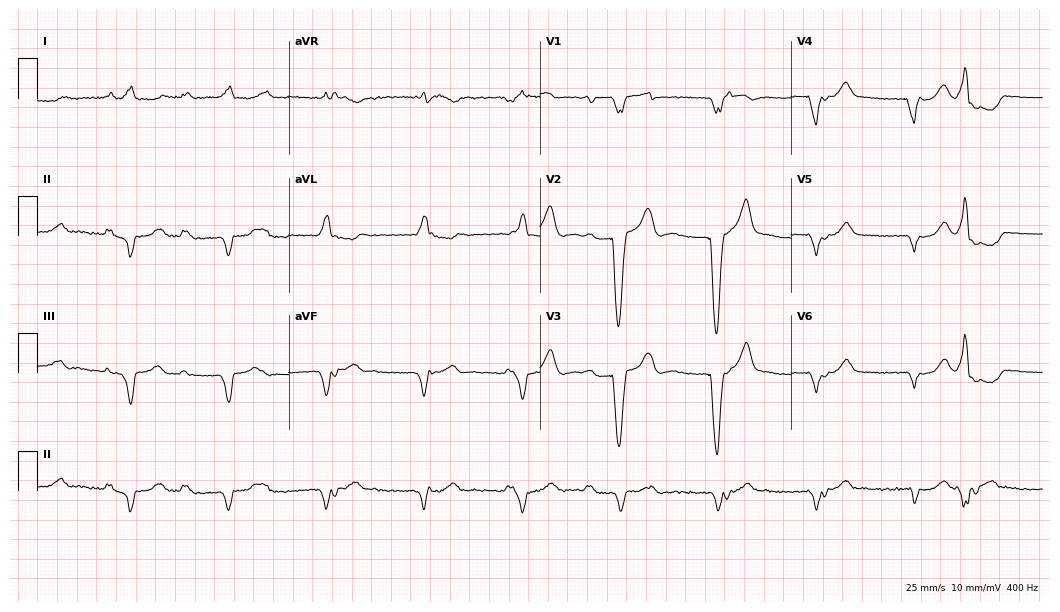
Standard 12-lead ECG recorded from a man, 85 years old. None of these six findings is recorded: first-degree AV block, right bundle branch block, left bundle branch block, sinus bradycardia, atrial fibrillation, sinus tachycardia.